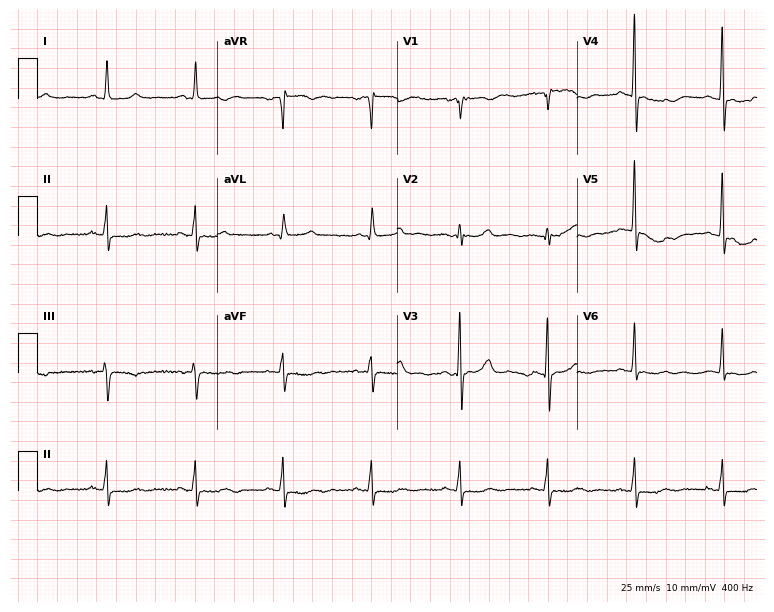
12-lead ECG from a 72-year-old woman. Screened for six findings — first-degree AV block, right bundle branch block, left bundle branch block, sinus bradycardia, atrial fibrillation, sinus tachycardia — none is recorded. Findings outside these six are not listed.